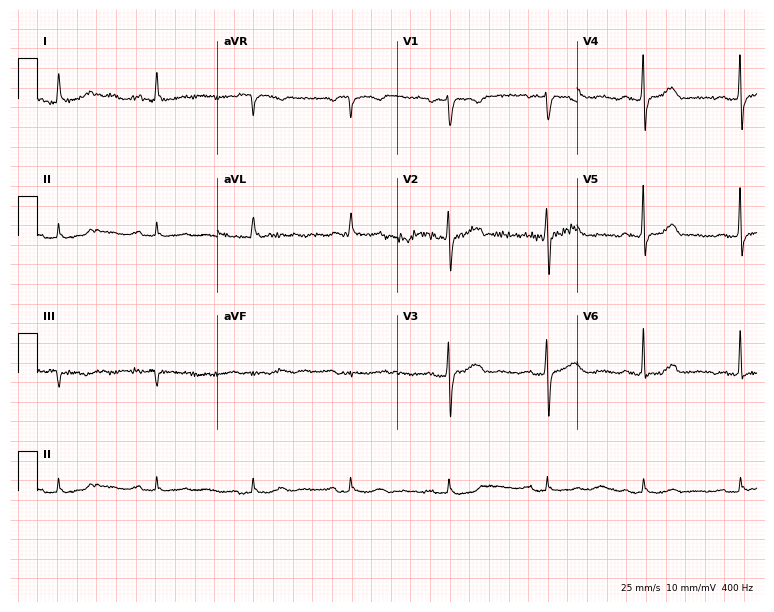
Standard 12-lead ECG recorded from a man, 75 years old (7.3-second recording at 400 Hz). None of these six findings is recorded: first-degree AV block, right bundle branch block (RBBB), left bundle branch block (LBBB), sinus bradycardia, atrial fibrillation (AF), sinus tachycardia.